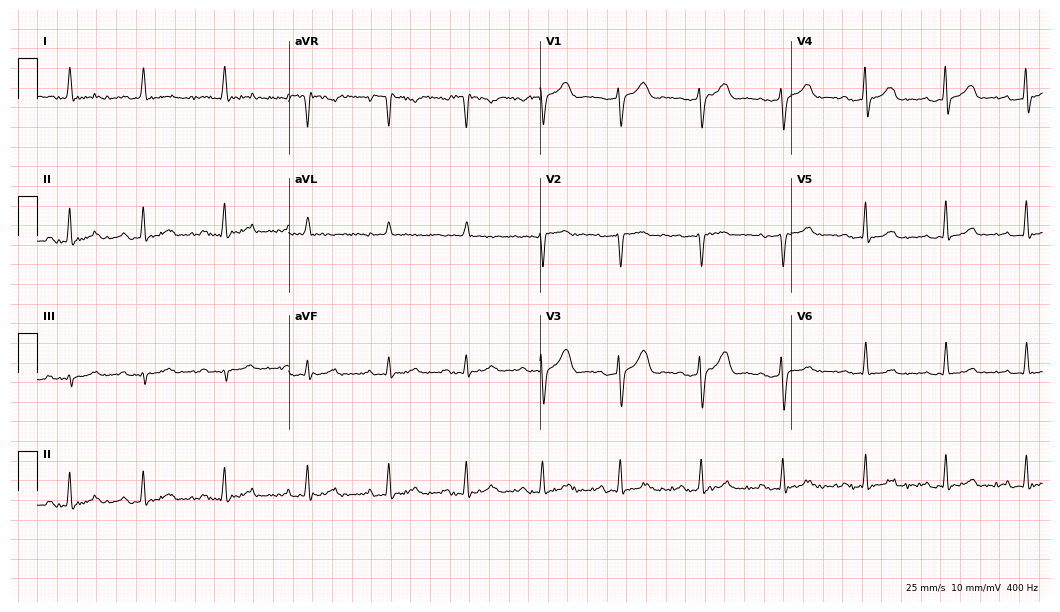
ECG — a 44-year-old female patient. Screened for six findings — first-degree AV block, right bundle branch block (RBBB), left bundle branch block (LBBB), sinus bradycardia, atrial fibrillation (AF), sinus tachycardia — none is recorded.